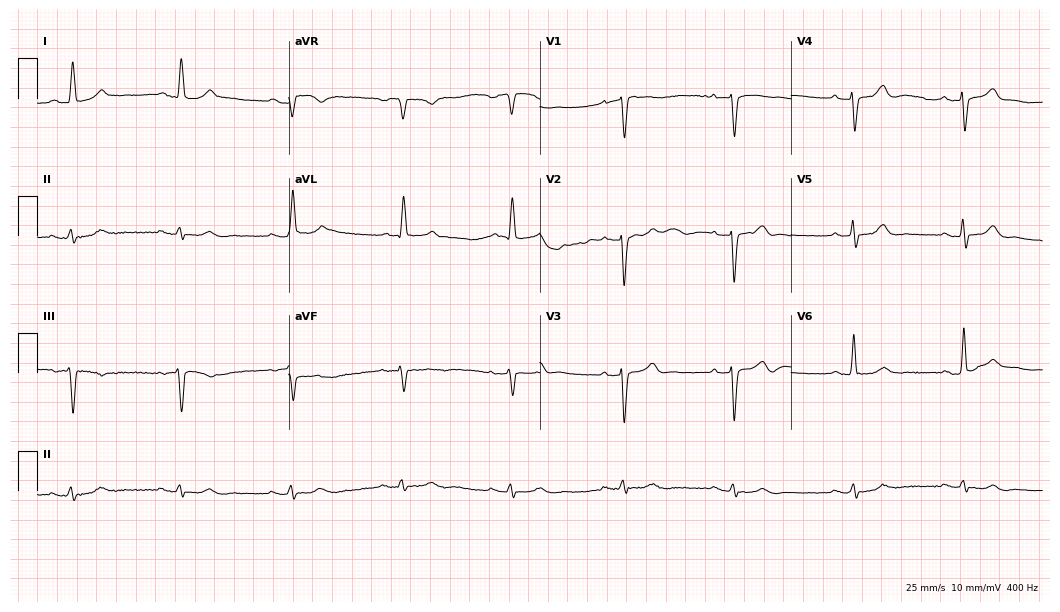
Resting 12-lead electrocardiogram (10.2-second recording at 400 Hz). Patient: a male, 83 years old. Read as a normal ECG.